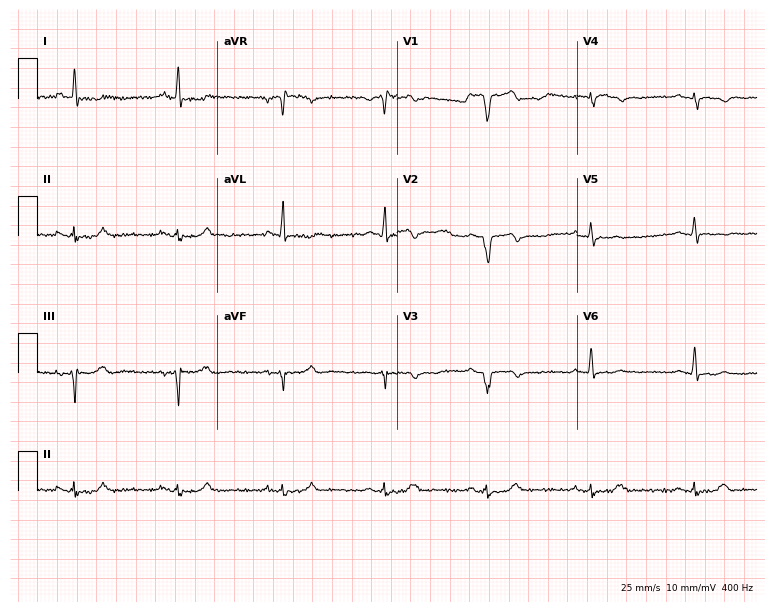
Electrocardiogram, a 55-year-old man. Of the six screened findings (first-degree AV block, right bundle branch block, left bundle branch block, sinus bradycardia, atrial fibrillation, sinus tachycardia), none is recorded.